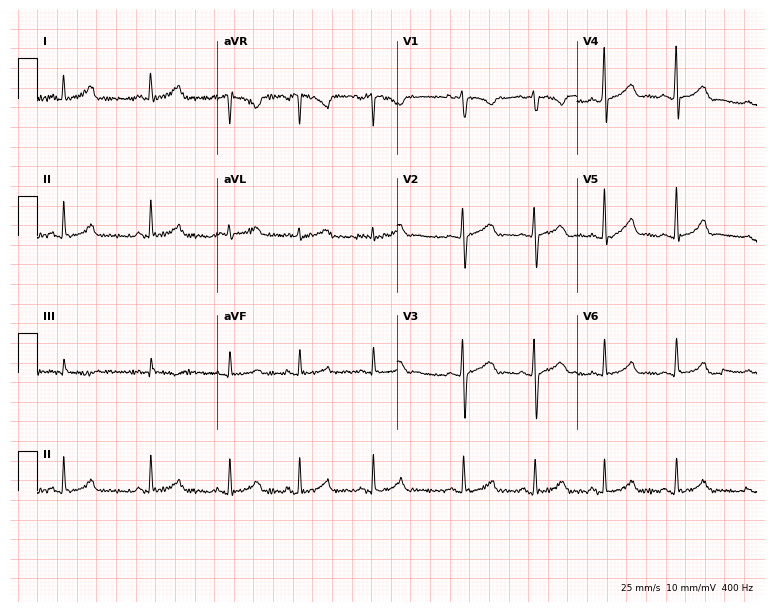
Standard 12-lead ECG recorded from a 27-year-old woman. Read as a normal ECG.